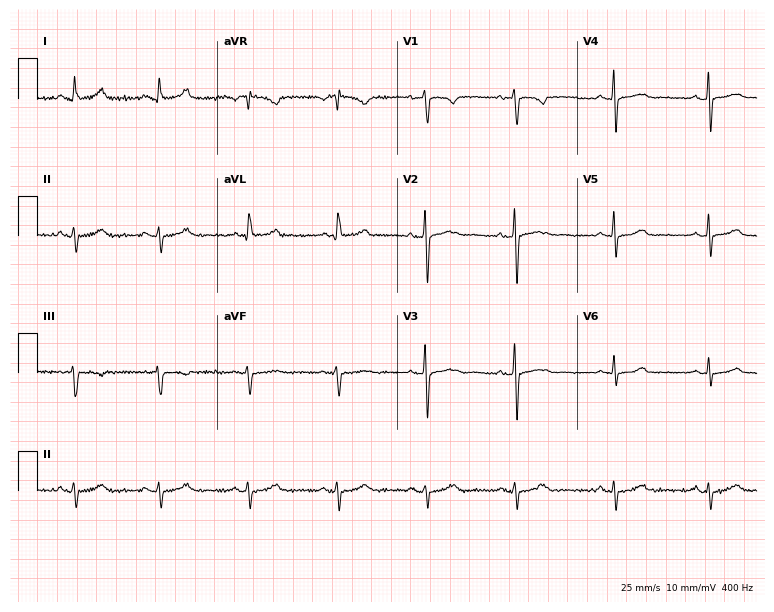
12-lead ECG from a female, 59 years old (7.3-second recording at 400 Hz). No first-degree AV block, right bundle branch block, left bundle branch block, sinus bradycardia, atrial fibrillation or sinus tachycardia recorded for this tracing.